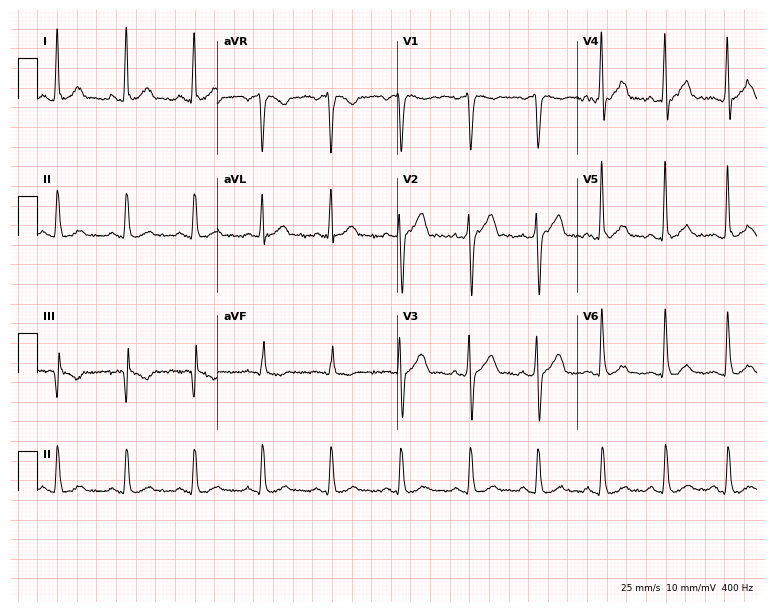
Electrocardiogram, a man, 37 years old. Overall reading on record: normal ECG.